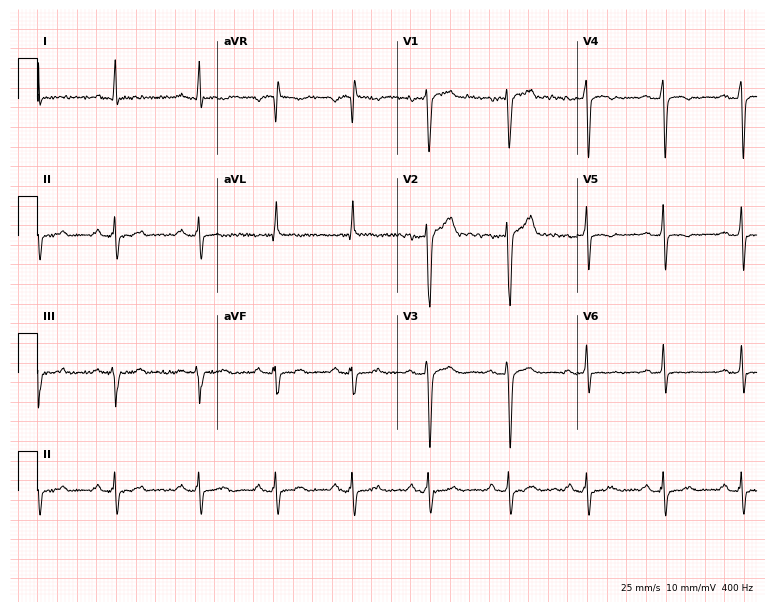
ECG (7.3-second recording at 400 Hz) — a 40-year-old man. Screened for six findings — first-degree AV block, right bundle branch block, left bundle branch block, sinus bradycardia, atrial fibrillation, sinus tachycardia — none is recorded.